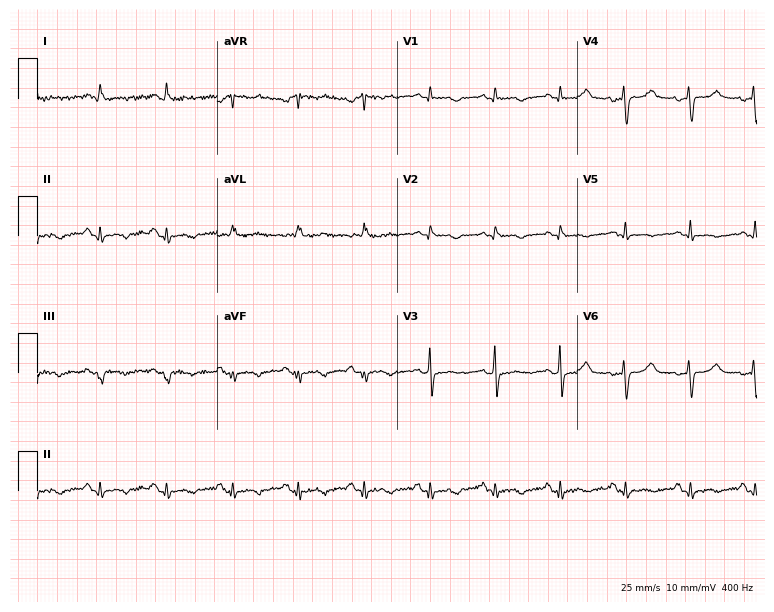
Resting 12-lead electrocardiogram (7.3-second recording at 400 Hz). Patient: a 50-year-old female. None of these six findings is recorded: first-degree AV block, right bundle branch block, left bundle branch block, sinus bradycardia, atrial fibrillation, sinus tachycardia.